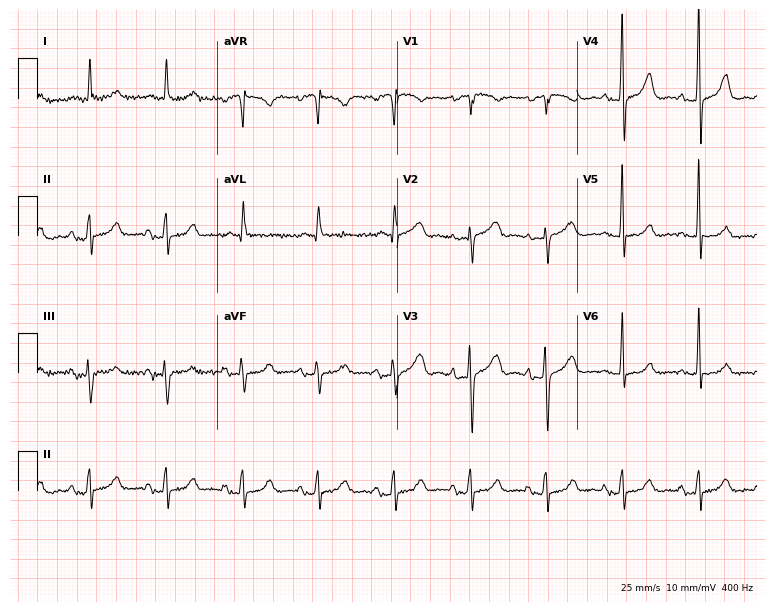
12-lead ECG from an 80-year-old female (7.3-second recording at 400 Hz). Recorded interpretation: within normal limits.